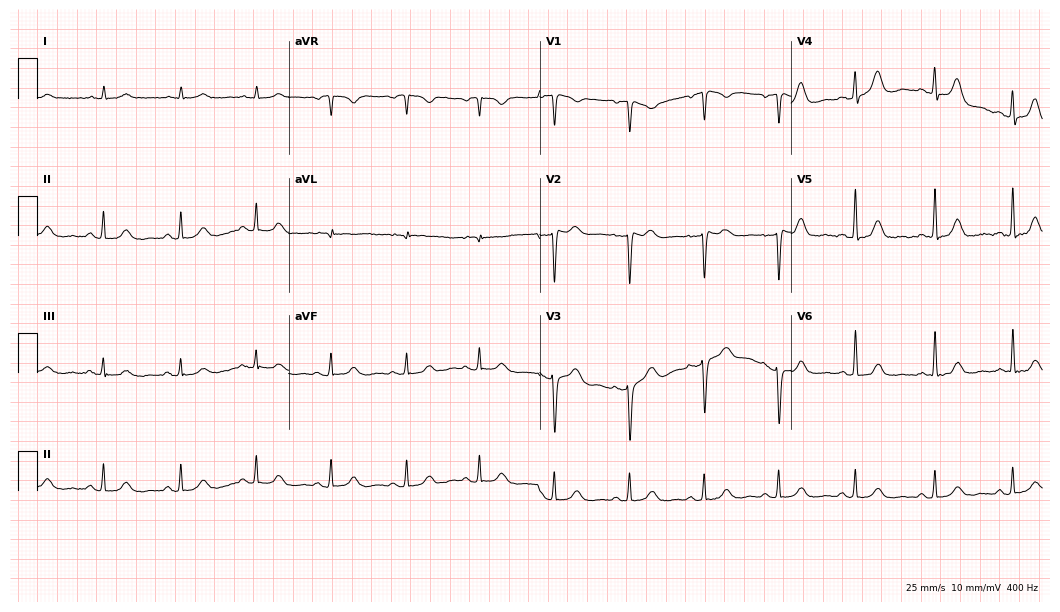
ECG (10.2-second recording at 400 Hz) — a 71-year-old female patient. Screened for six findings — first-degree AV block, right bundle branch block (RBBB), left bundle branch block (LBBB), sinus bradycardia, atrial fibrillation (AF), sinus tachycardia — none is recorded. Other findings, if any, are not listed.